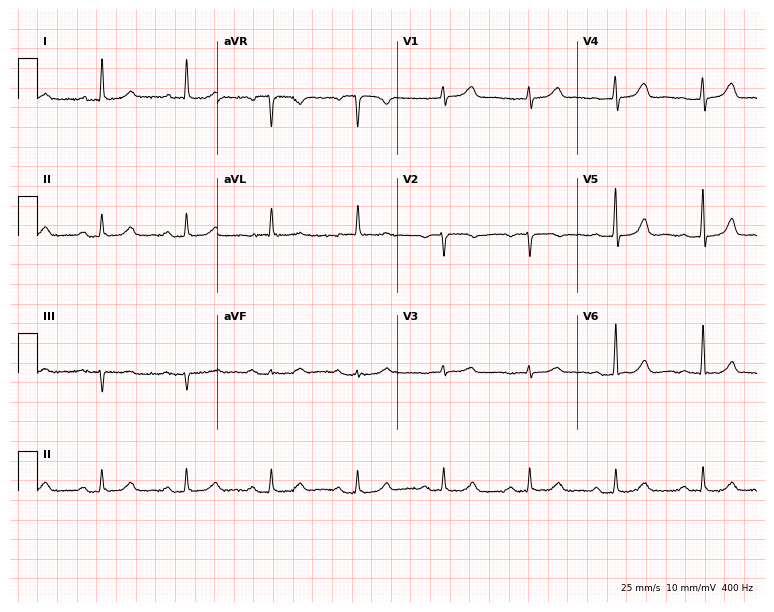
Standard 12-lead ECG recorded from a female patient, 57 years old (7.3-second recording at 400 Hz). None of these six findings is recorded: first-degree AV block, right bundle branch block (RBBB), left bundle branch block (LBBB), sinus bradycardia, atrial fibrillation (AF), sinus tachycardia. Findings outside these six are not listed.